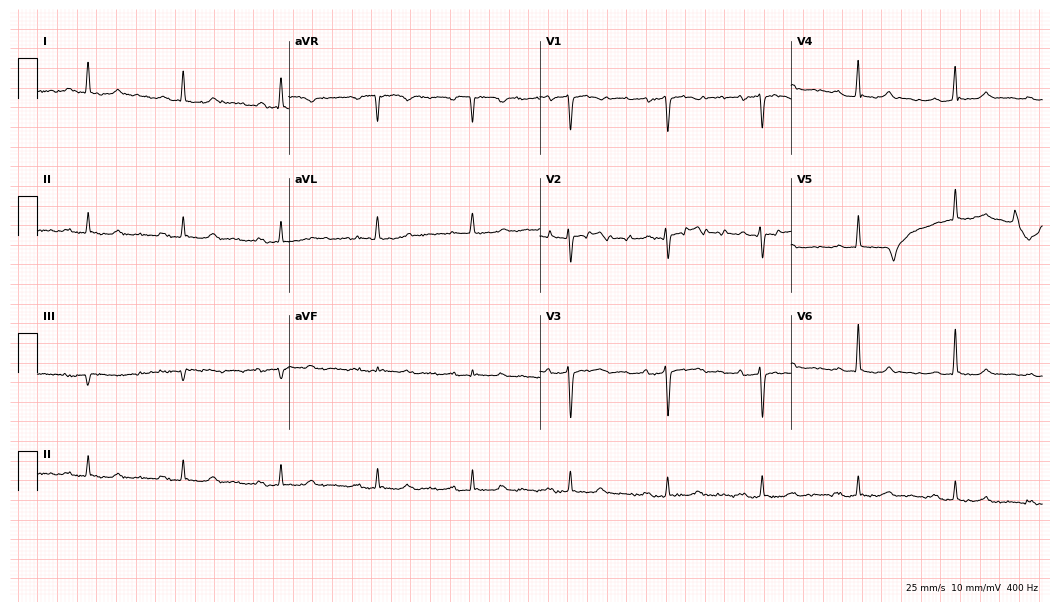
Standard 12-lead ECG recorded from a 72-year-old female. None of these six findings is recorded: first-degree AV block, right bundle branch block, left bundle branch block, sinus bradycardia, atrial fibrillation, sinus tachycardia.